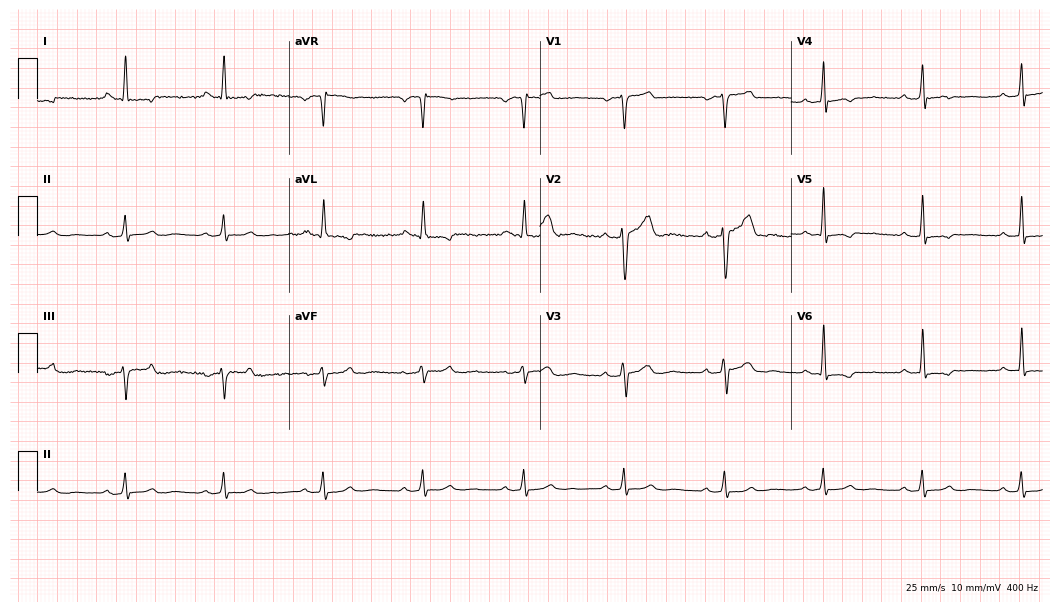
12-lead ECG from a male, 48 years old. Screened for six findings — first-degree AV block, right bundle branch block (RBBB), left bundle branch block (LBBB), sinus bradycardia, atrial fibrillation (AF), sinus tachycardia — none is recorded. Findings outside these six are not listed.